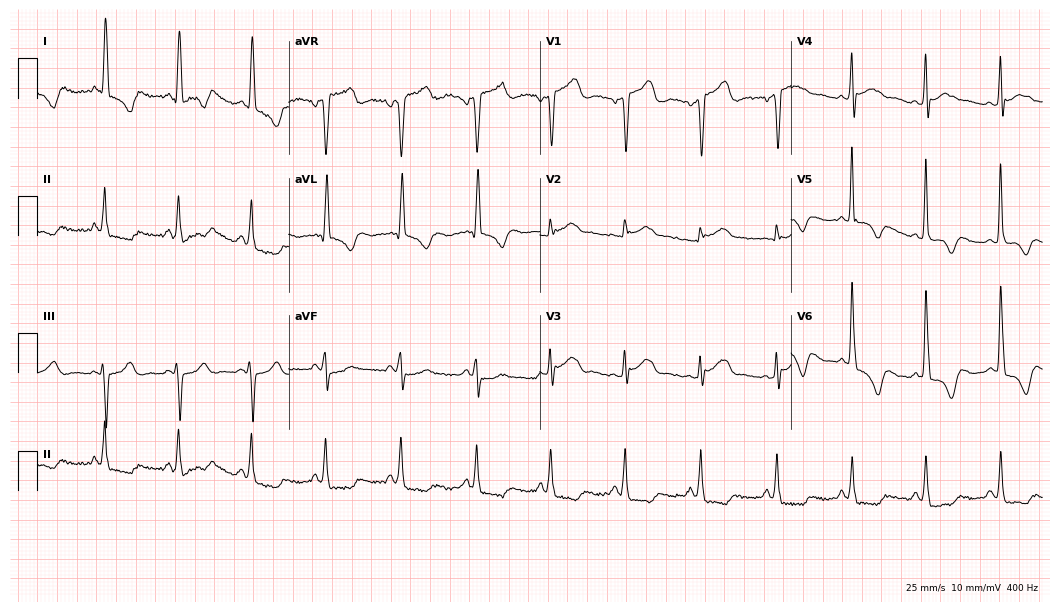
12-lead ECG from a 55-year-old male patient. Screened for six findings — first-degree AV block, right bundle branch block (RBBB), left bundle branch block (LBBB), sinus bradycardia, atrial fibrillation (AF), sinus tachycardia — none is recorded.